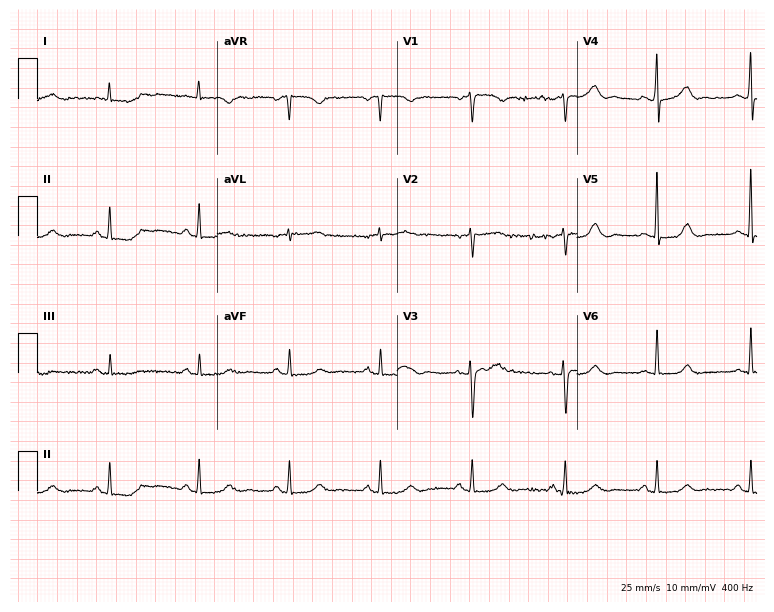
Standard 12-lead ECG recorded from a female patient, 60 years old. None of these six findings is recorded: first-degree AV block, right bundle branch block, left bundle branch block, sinus bradycardia, atrial fibrillation, sinus tachycardia.